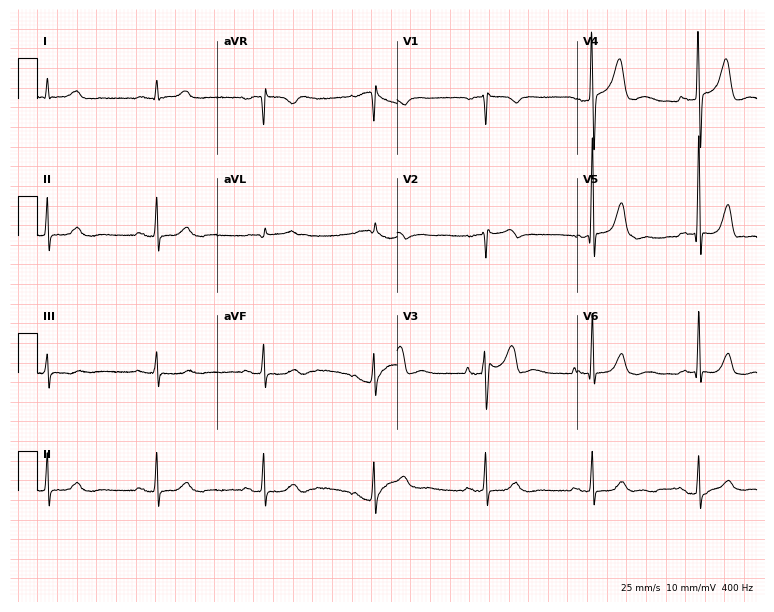
ECG (7.3-second recording at 400 Hz) — a 66-year-old male. Screened for six findings — first-degree AV block, right bundle branch block (RBBB), left bundle branch block (LBBB), sinus bradycardia, atrial fibrillation (AF), sinus tachycardia — none is recorded. Findings outside these six are not listed.